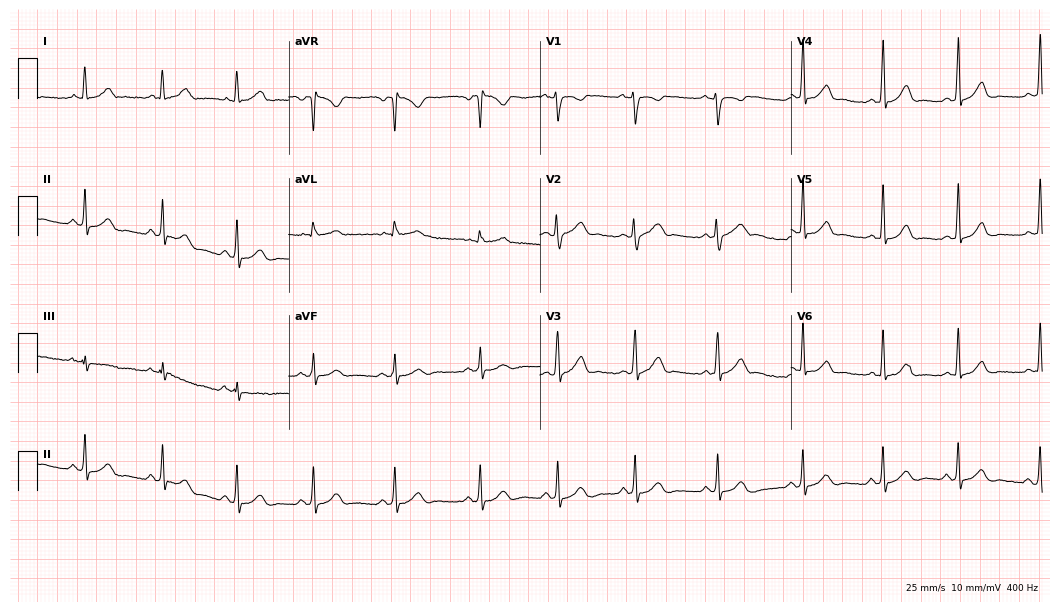
12-lead ECG from a female, 27 years old. No first-degree AV block, right bundle branch block, left bundle branch block, sinus bradycardia, atrial fibrillation or sinus tachycardia recorded for this tracing.